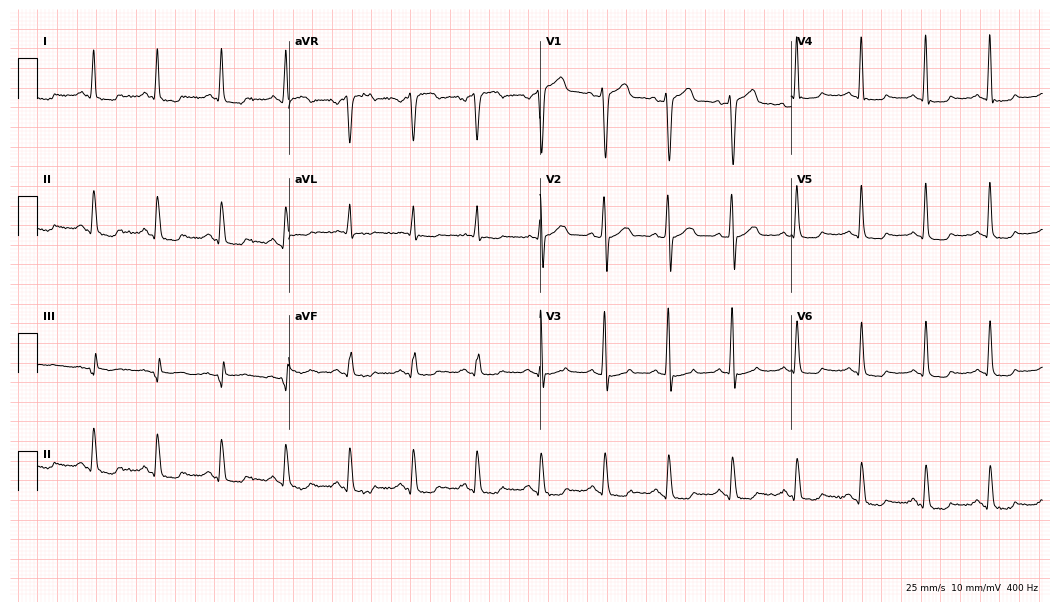
12-lead ECG from a 57-year-old man. Screened for six findings — first-degree AV block, right bundle branch block, left bundle branch block, sinus bradycardia, atrial fibrillation, sinus tachycardia — none is recorded. Findings outside these six are not listed.